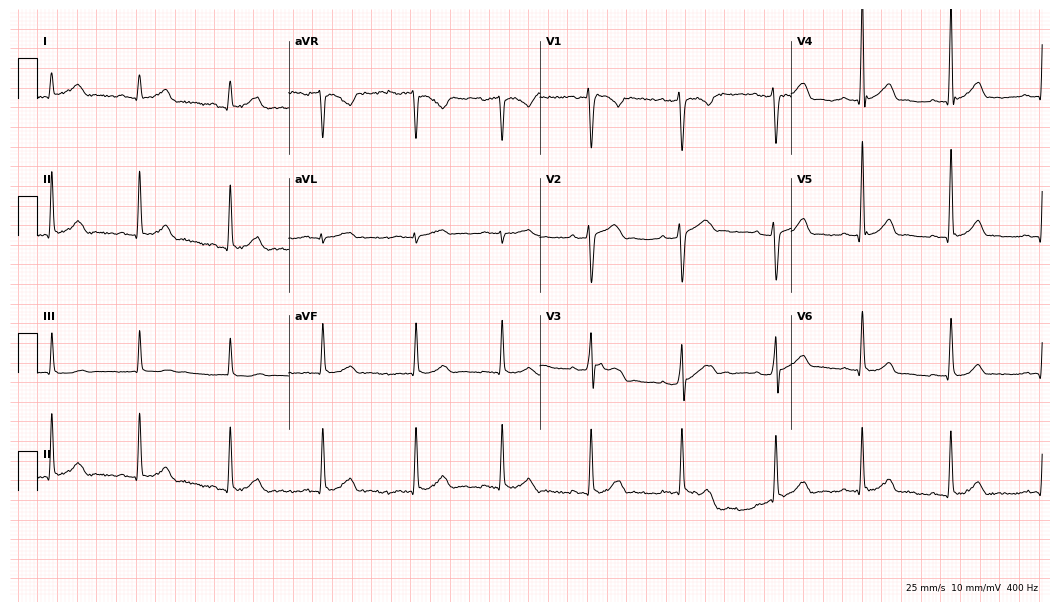
ECG — a 24-year-old male. Labelled as a normal ECG.